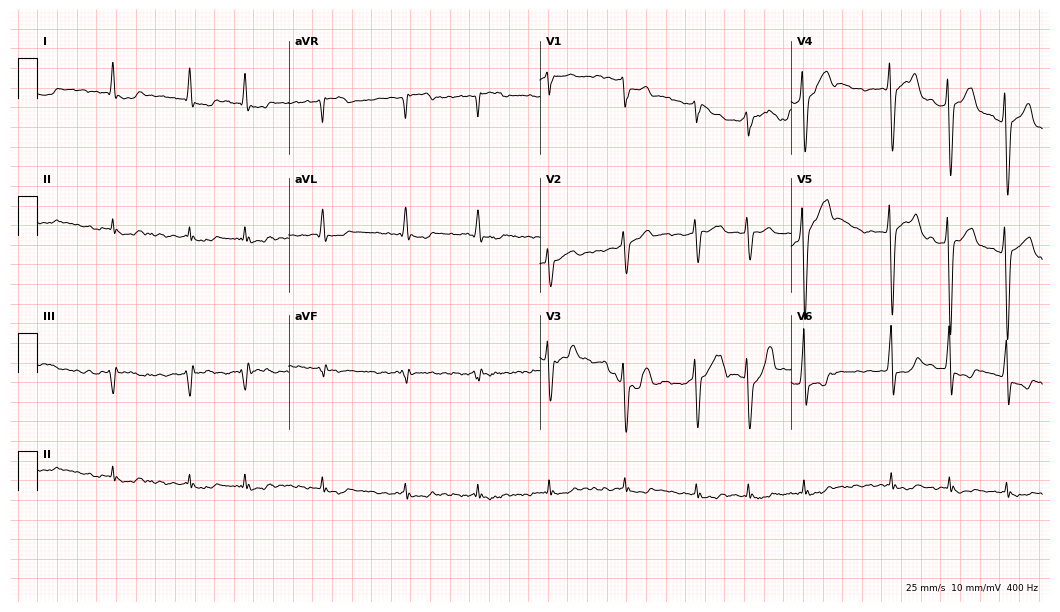
12-lead ECG from a male patient, 76 years old. Screened for six findings — first-degree AV block, right bundle branch block, left bundle branch block, sinus bradycardia, atrial fibrillation, sinus tachycardia — none is recorded.